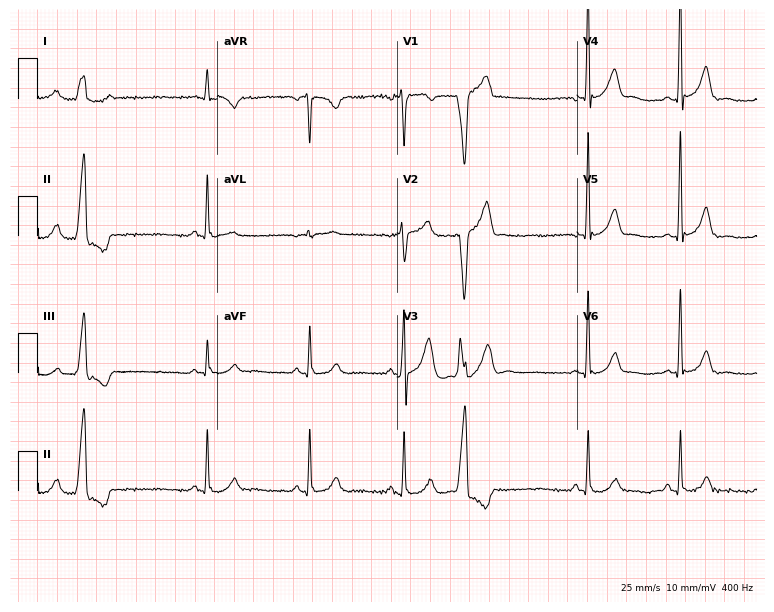
Resting 12-lead electrocardiogram (7.3-second recording at 400 Hz). Patient: a woman, 63 years old. None of these six findings is recorded: first-degree AV block, right bundle branch block, left bundle branch block, sinus bradycardia, atrial fibrillation, sinus tachycardia.